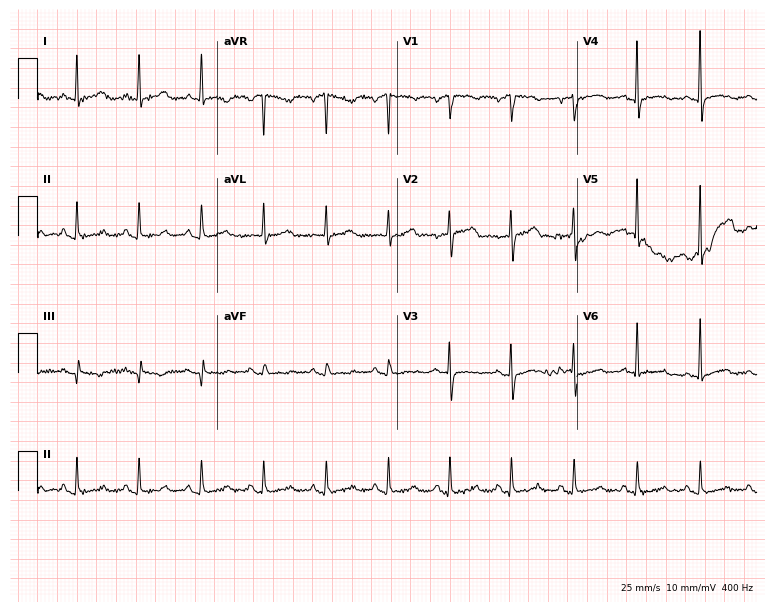
12-lead ECG from a female, 77 years old. Recorded interpretation: within normal limits.